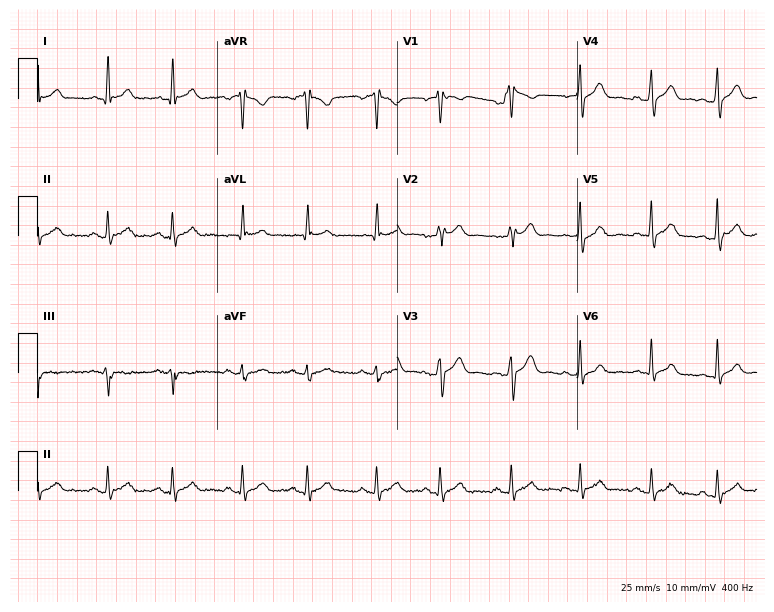
ECG — a 46-year-old male patient. Screened for six findings — first-degree AV block, right bundle branch block, left bundle branch block, sinus bradycardia, atrial fibrillation, sinus tachycardia — none is recorded. Findings outside these six are not listed.